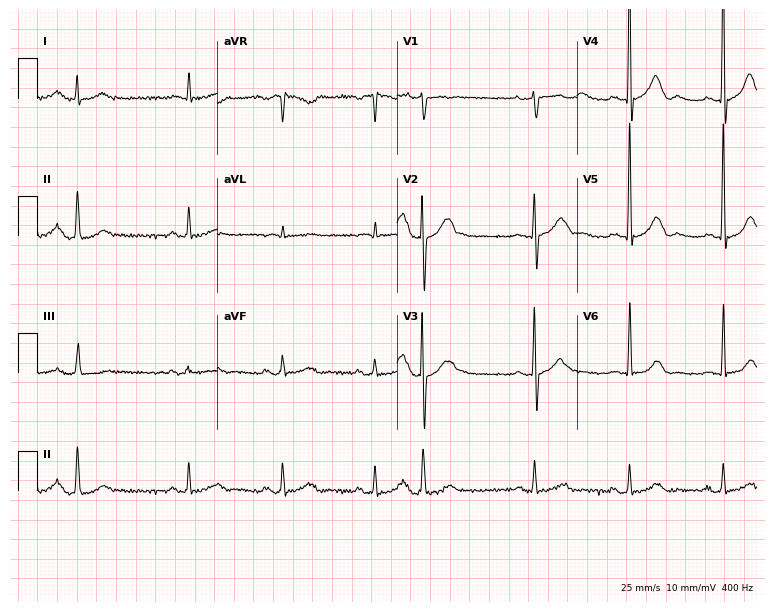
Resting 12-lead electrocardiogram. Patient: a female, 73 years old. Read as a normal ECG.